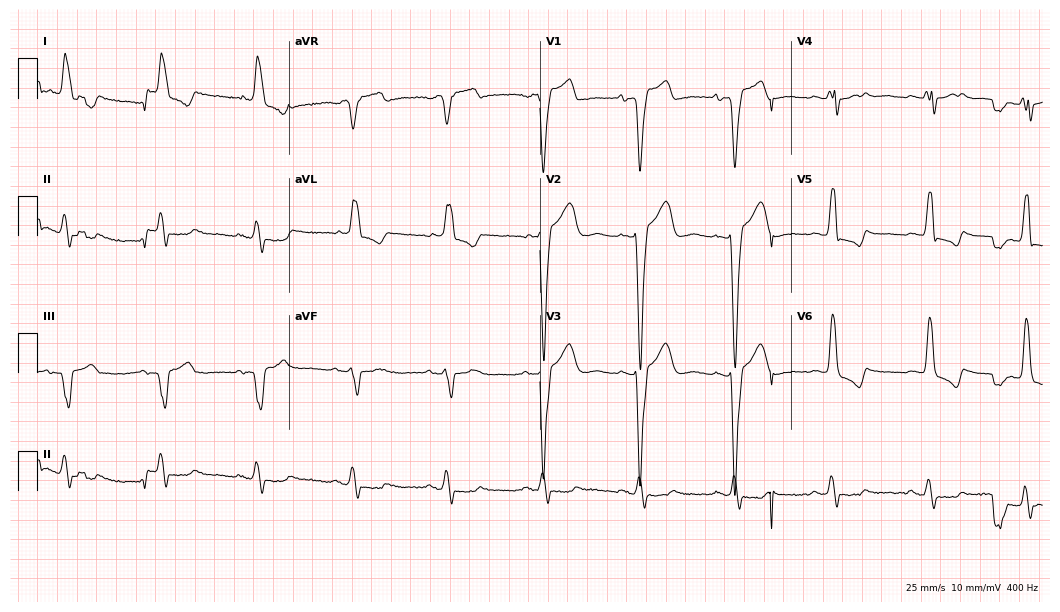
Resting 12-lead electrocardiogram. Patient: a woman, 80 years old. The tracing shows left bundle branch block.